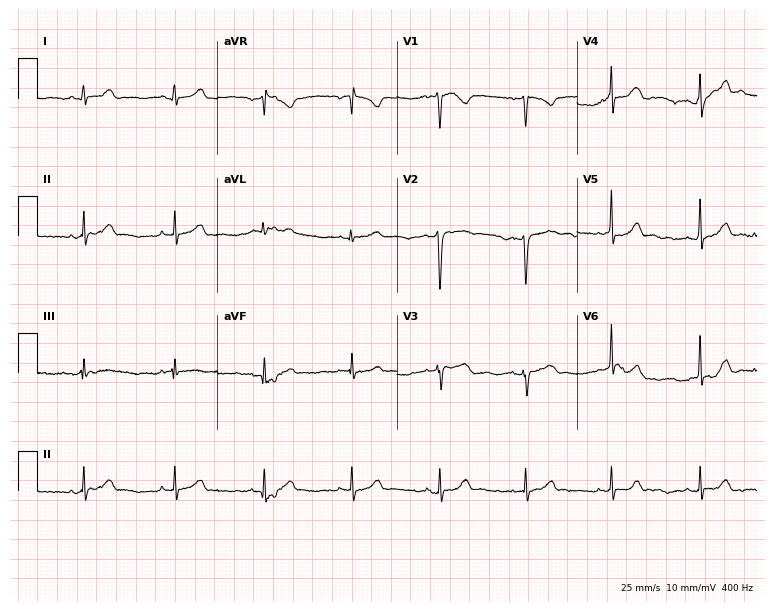
Electrocardiogram (7.3-second recording at 400 Hz), a 27-year-old female patient. Overall reading on record: normal ECG.